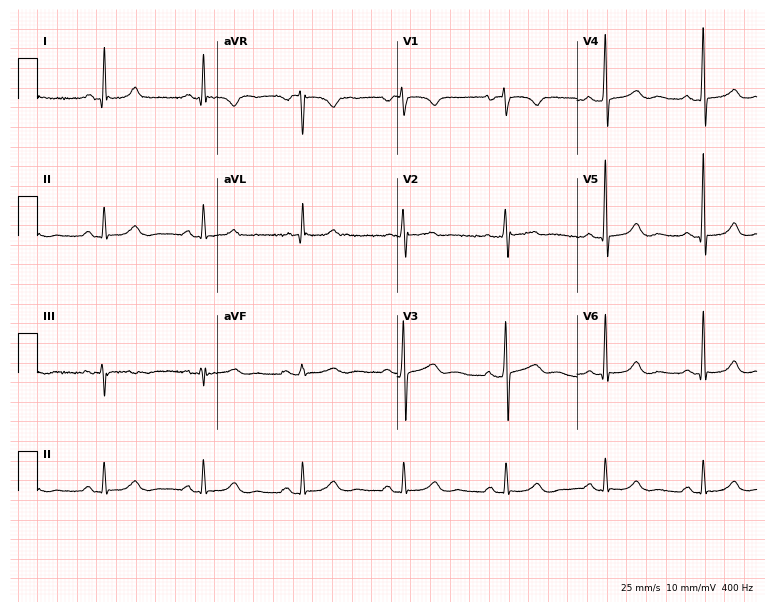
12-lead ECG (7.3-second recording at 400 Hz) from a 70-year-old female patient. Labelled as a normal ECG.